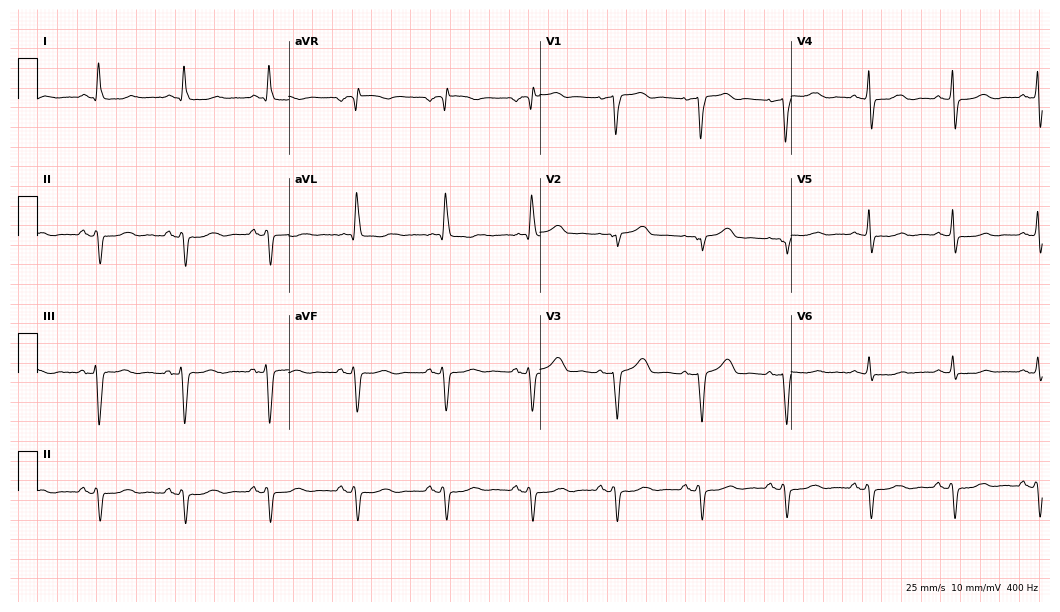
Resting 12-lead electrocardiogram. Patient: a 64-year-old female. None of these six findings is recorded: first-degree AV block, right bundle branch block (RBBB), left bundle branch block (LBBB), sinus bradycardia, atrial fibrillation (AF), sinus tachycardia. Only these six findings were labelled.